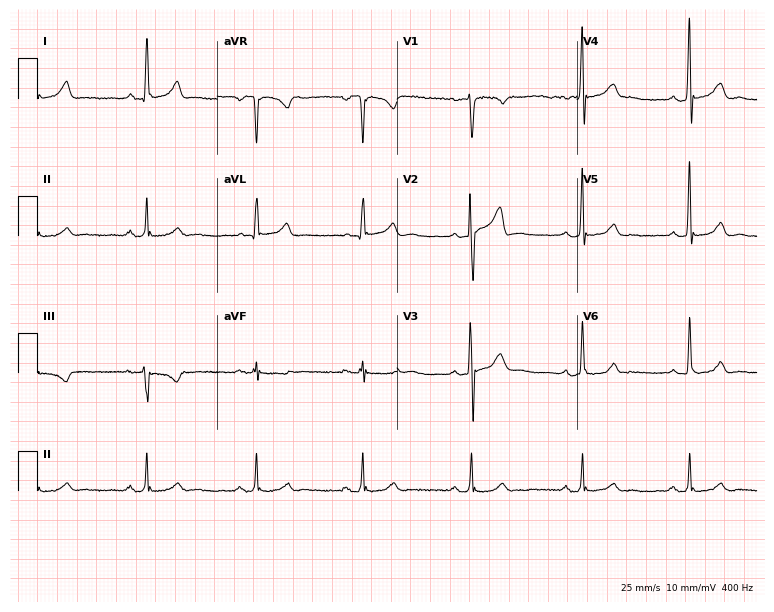
ECG — a man, 38 years old. Labelled as a normal ECG.